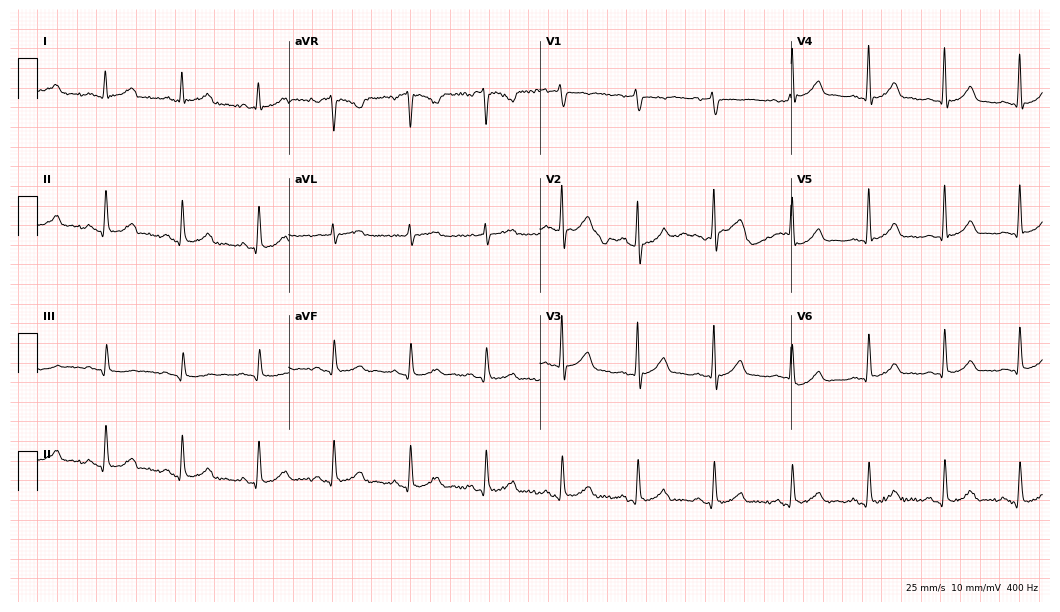
ECG (10.2-second recording at 400 Hz) — a 52-year-old man. Labelled as a normal ECG.